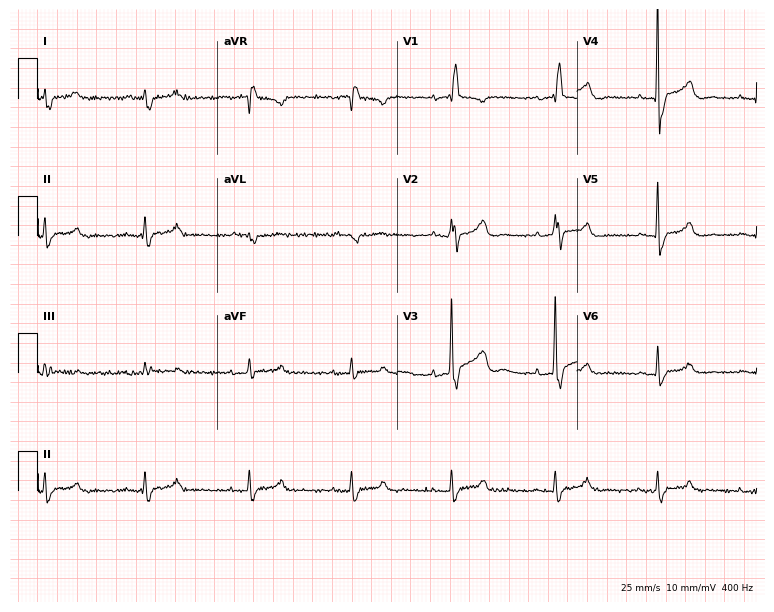
Electrocardiogram, a male, 71 years old. Interpretation includes right bundle branch block (RBBB).